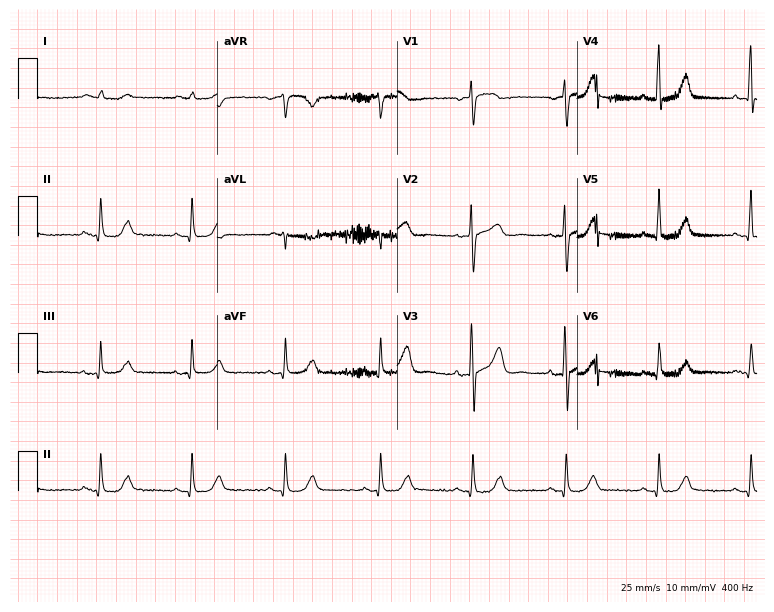
12-lead ECG from a 68-year-old male (7.3-second recording at 400 Hz). Recorded interpretation: within normal limits.